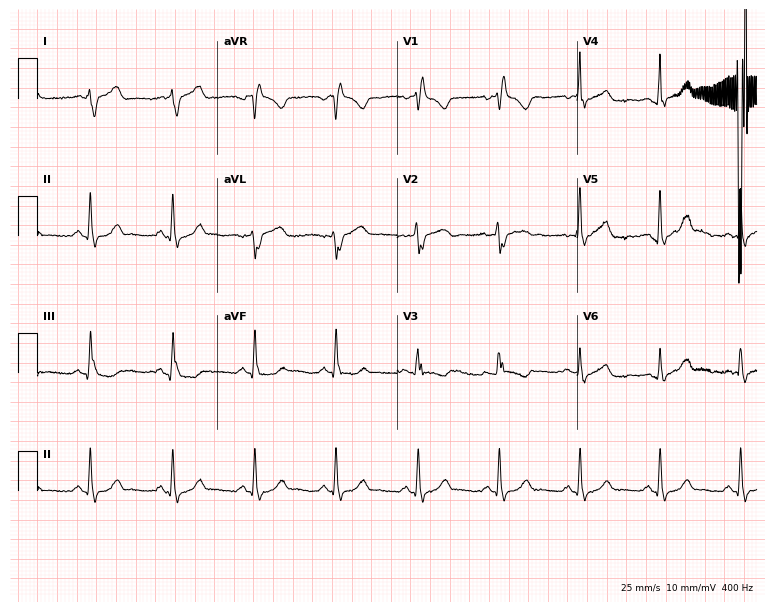
ECG (7.3-second recording at 400 Hz) — a 49-year-old woman. Findings include right bundle branch block.